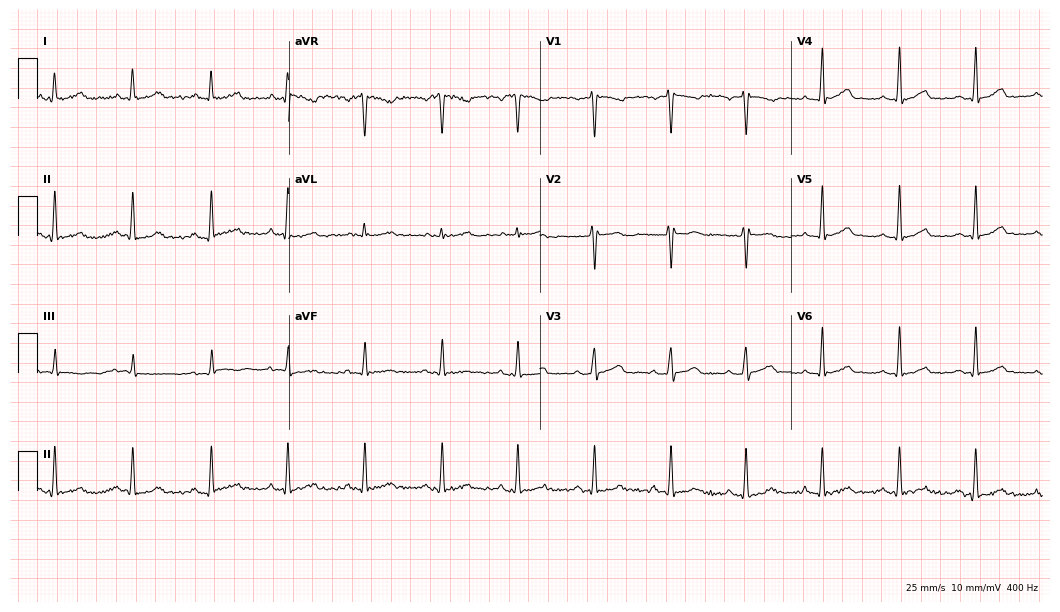
ECG (10.2-second recording at 400 Hz) — a female patient, 28 years old. Labelled as a normal ECG.